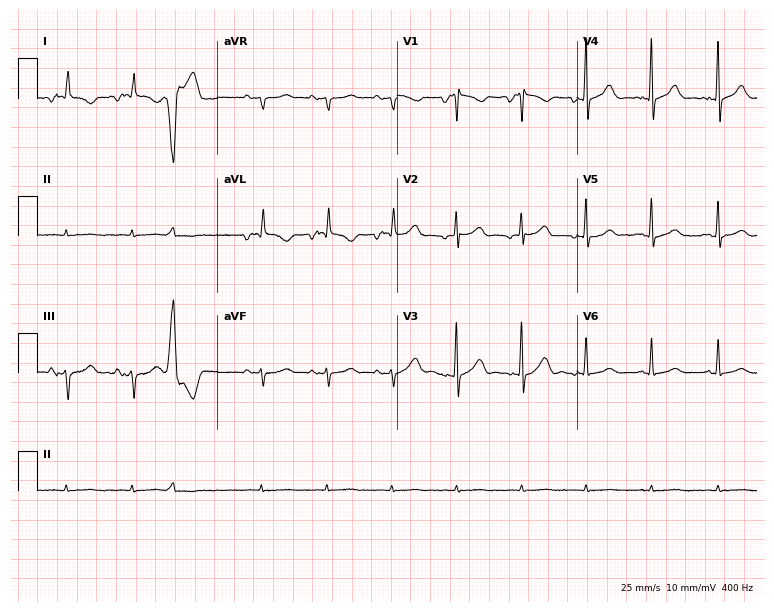
ECG (7.3-second recording at 400 Hz) — a female, 85 years old. Screened for six findings — first-degree AV block, right bundle branch block (RBBB), left bundle branch block (LBBB), sinus bradycardia, atrial fibrillation (AF), sinus tachycardia — none is recorded. Other findings, if any, are not listed.